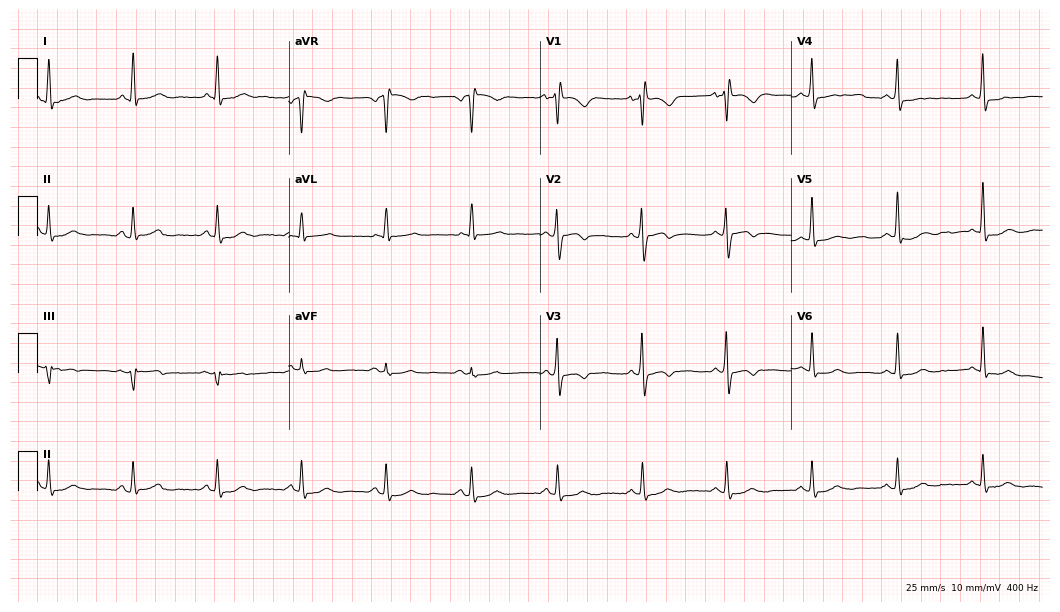
12-lead ECG from a 78-year-old male (10.2-second recording at 400 Hz). No first-degree AV block, right bundle branch block, left bundle branch block, sinus bradycardia, atrial fibrillation or sinus tachycardia recorded for this tracing.